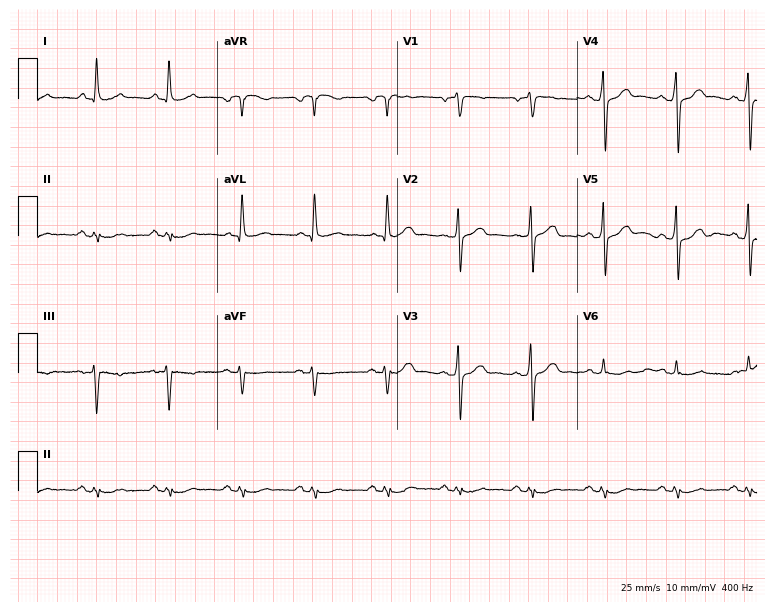
Resting 12-lead electrocardiogram. Patient: a male, 81 years old. None of these six findings is recorded: first-degree AV block, right bundle branch block, left bundle branch block, sinus bradycardia, atrial fibrillation, sinus tachycardia.